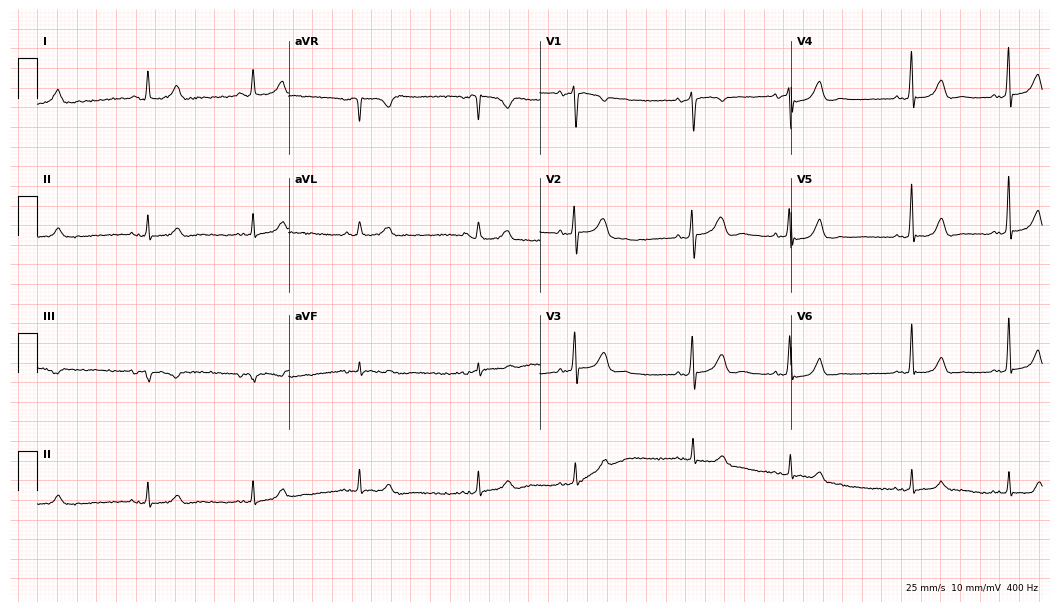
12-lead ECG from a woman, 63 years old. Recorded interpretation: within normal limits.